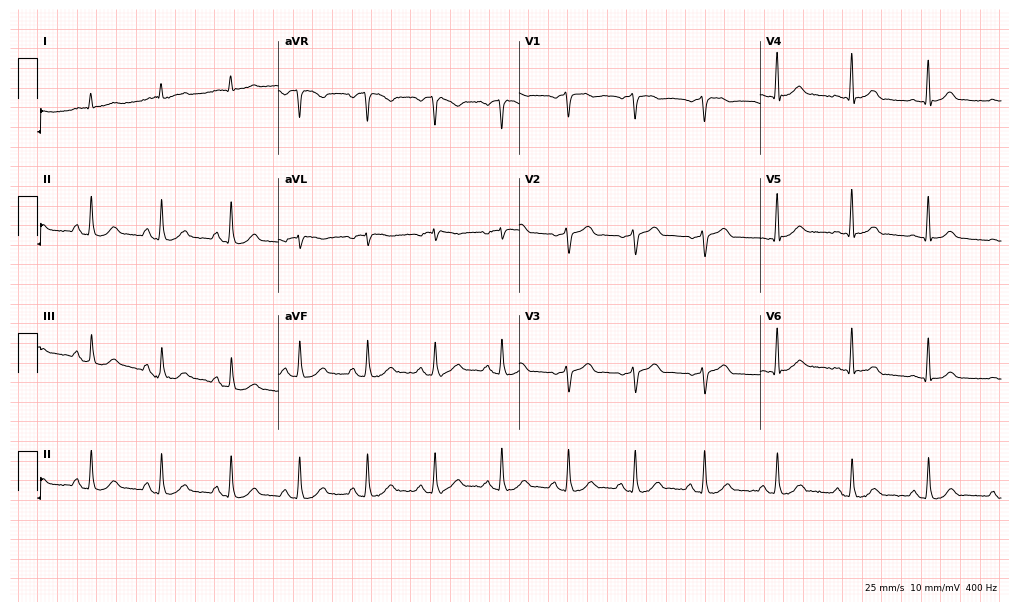
ECG — a 72-year-old male. Screened for six findings — first-degree AV block, right bundle branch block, left bundle branch block, sinus bradycardia, atrial fibrillation, sinus tachycardia — none is recorded.